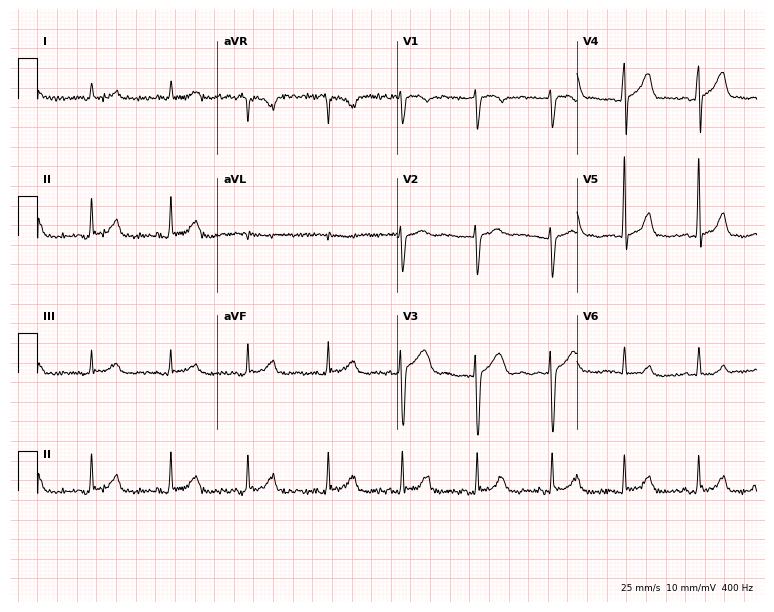
Electrocardiogram (7.3-second recording at 400 Hz), a female patient, 79 years old. Overall reading on record: normal ECG.